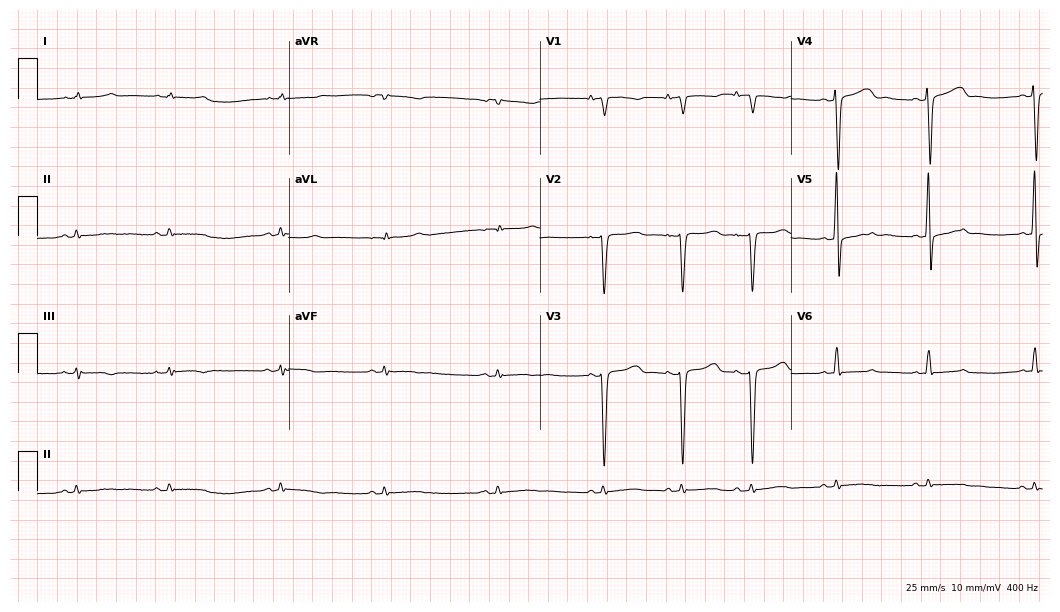
ECG (10.2-second recording at 400 Hz) — a 68-year-old woman. Labelled as a normal ECG.